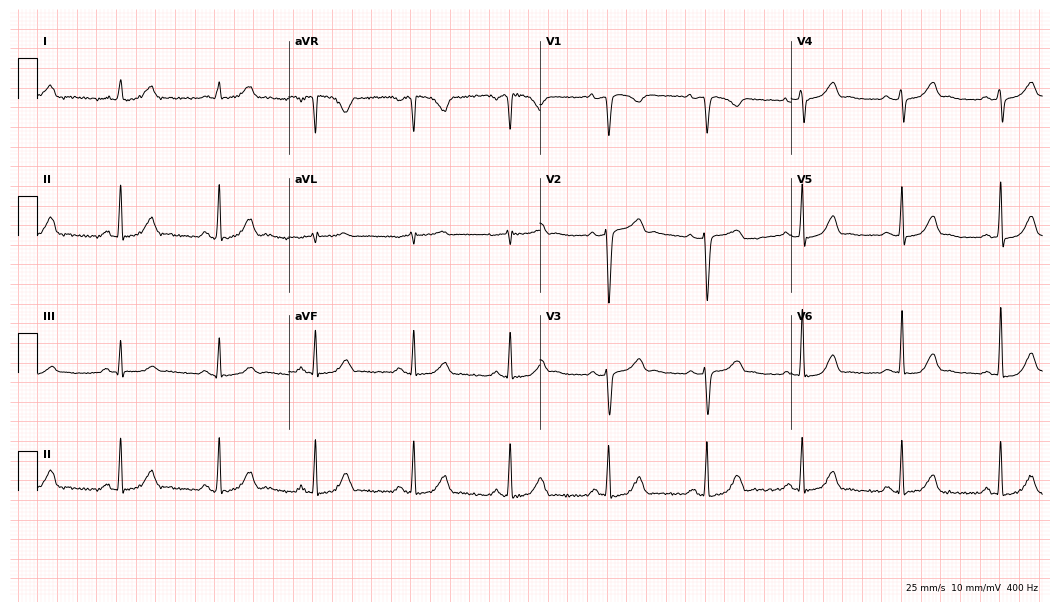
12-lead ECG (10.2-second recording at 400 Hz) from a female, 51 years old. Labelled as a normal ECG.